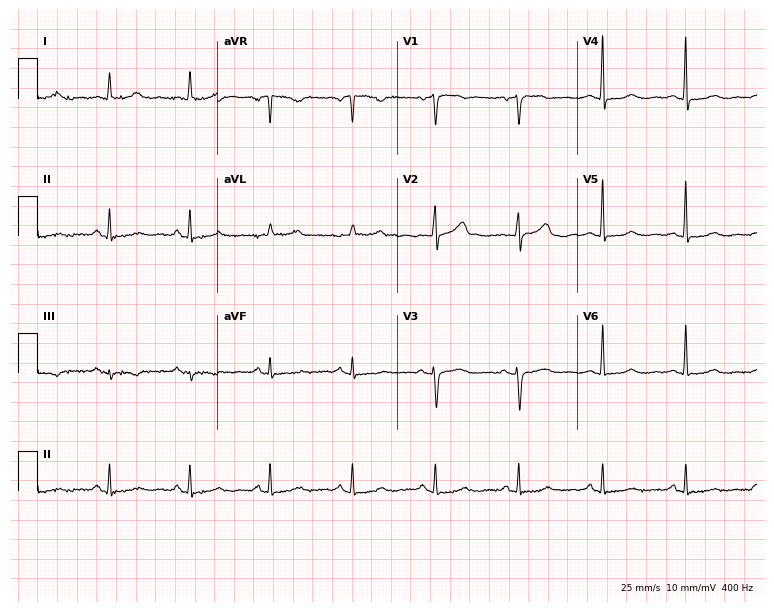
Resting 12-lead electrocardiogram (7.3-second recording at 400 Hz). Patient: a 70-year-old female. Read as a normal ECG.